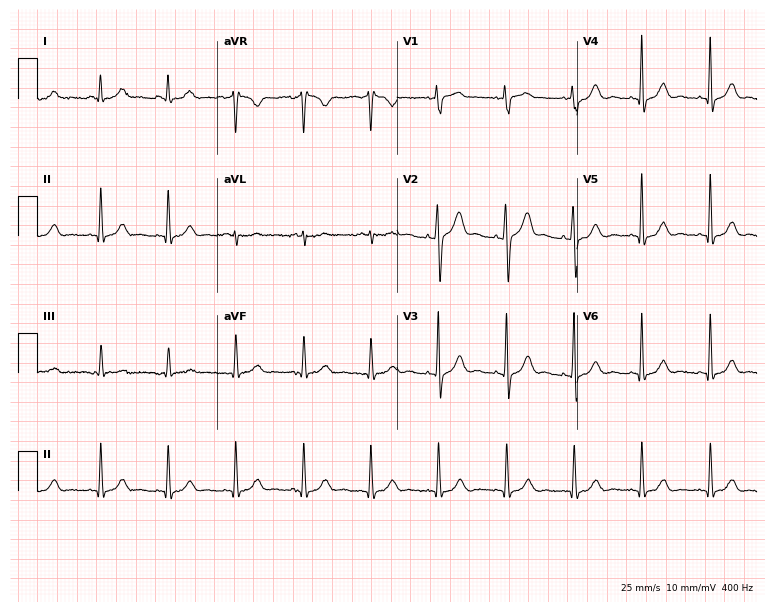
Electrocardiogram, a 60-year-old man. Overall reading on record: normal ECG.